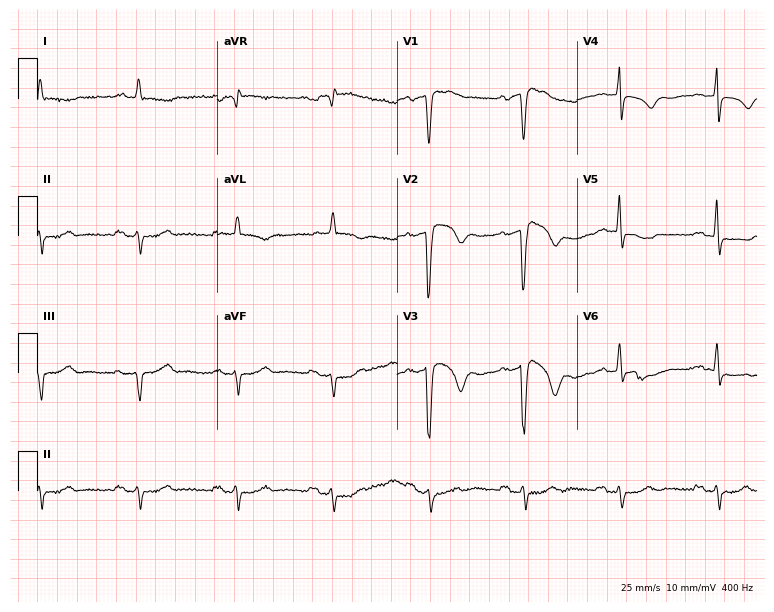
Electrocardiogram, a 76-year-old man. Interpretation includes first-degree AV block.